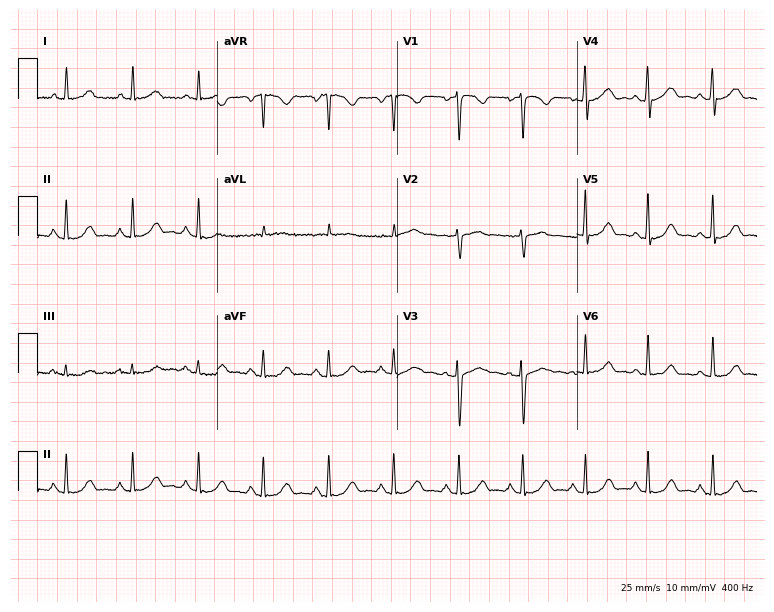
Electrocardiogram, a 37-year-old female patient. Of the six screened findings (first-degree AV block, right bundle branch block (RBBB), left bundle branch block (LBBB), sinus bradycardia, atrial fibrillation (AF), sinus tachycardia), none is recorded.